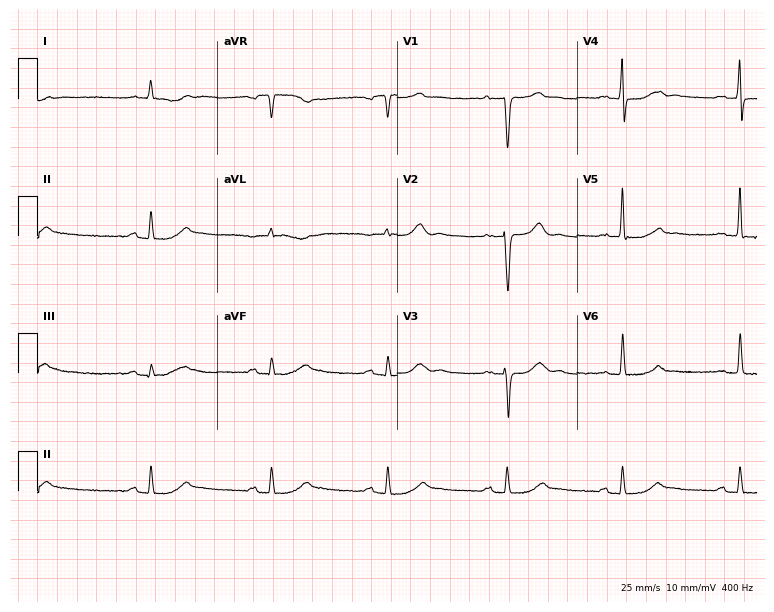
12-lead ECG from a woman, 73 years old (7.3-second recording at 400 Hz). No first-degree AV block, right bundle branch block, left bundle branch block, sinus bradycardia, atrial fibrillation or sinus tachycardia recorded for this tracing. Other findings, if any, are not listed.